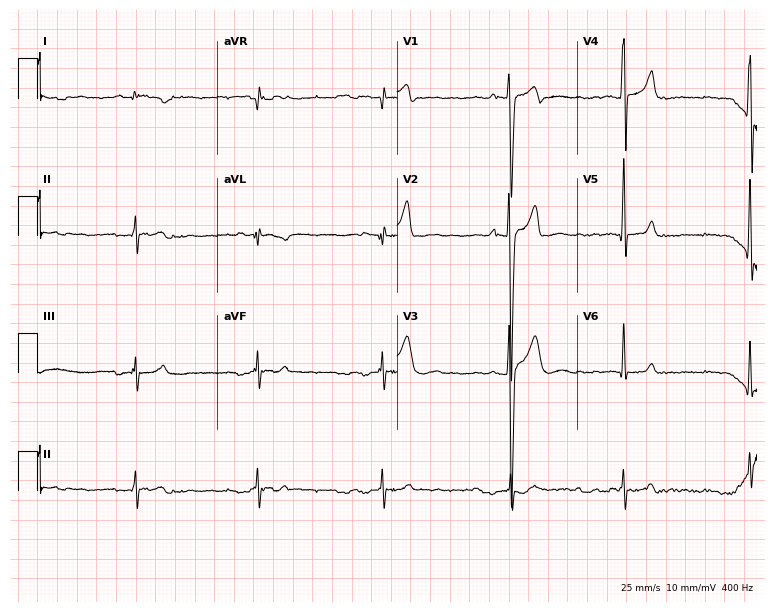
Electrocardiogram (7.3-second recording at 400 Hz), a 35-year-old male. Of the six screened findings (first-degree AV block, right bundle branch block, left bundle branch block, sinus bradycardia, atrial fibrillation, sinus tachycardia), none is recorded. Only these six findings were labelled.